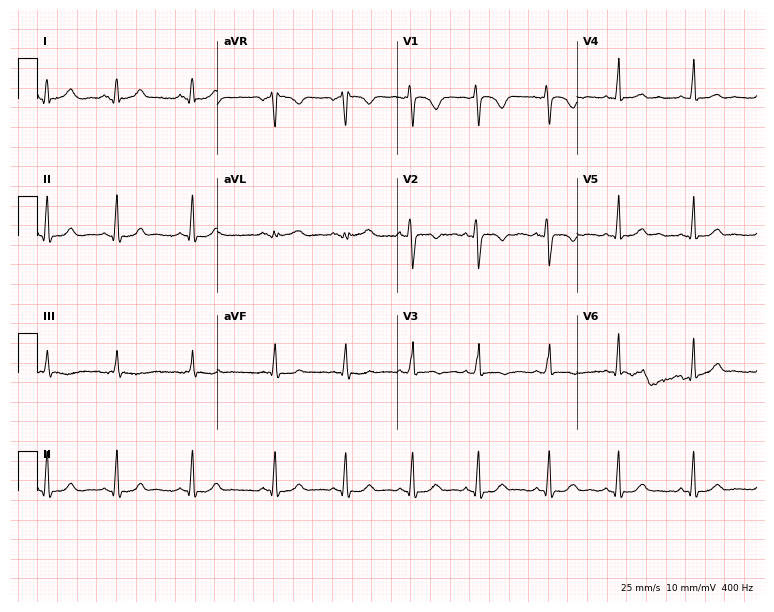
Resting 12-lead electrocardiogram. Patient: a female, 20 years old. Read as a normal ECG.